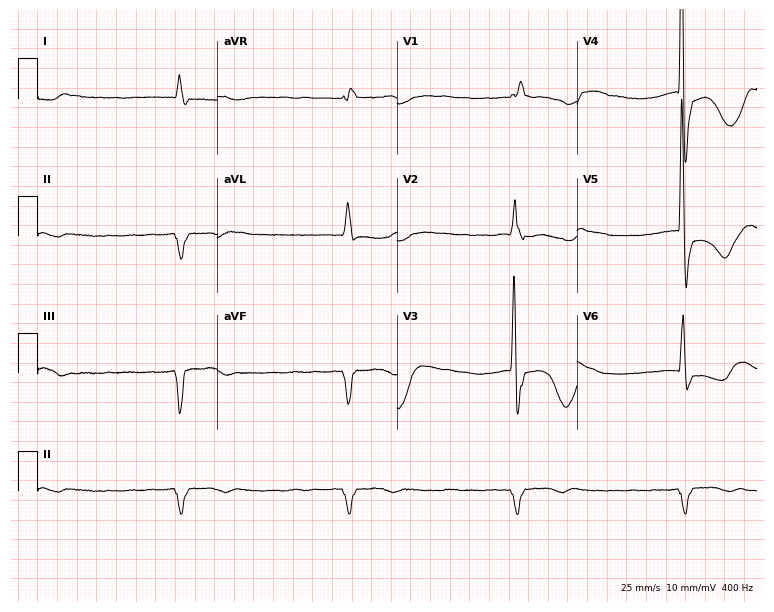
Electrocardiogram (7.3-second recording at 400 Hz), an 83-year-old man. Of the six screened findings (first-degree AV block, right bundle branch block, left bundle branch block, sinus bradycardia, atrial fibrillation, sinus tachycardia), none is recorded. Findings outside these six are not listed.